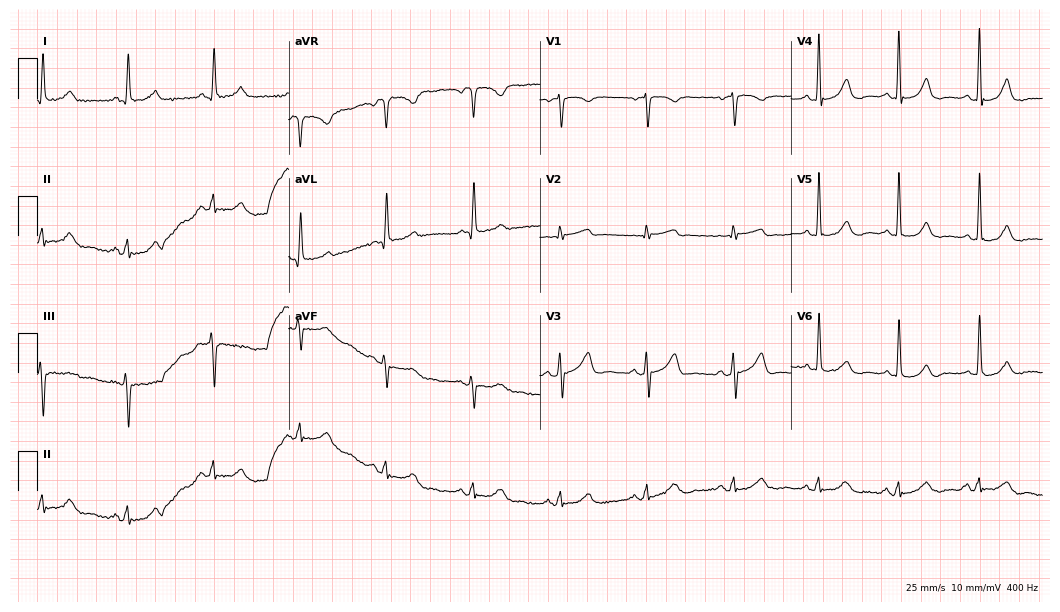
Electrocardiogram (10.2-second recording at 400 Hz), a female patient, 73 years old. Overall reading on record: normal ECG.